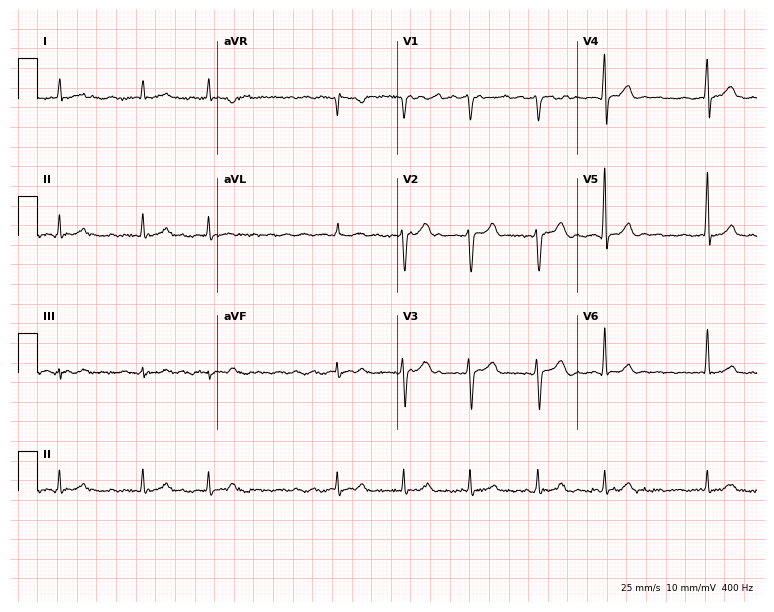
ECG — a female, 56 years old. Findings include atrial fibrillation (AF).